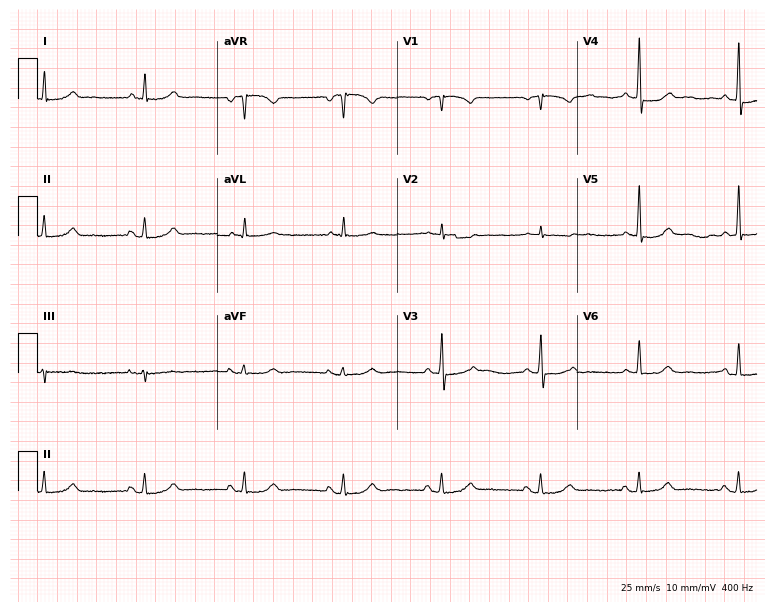
Resting 12-lead electrocardiogram (7.3-second recording at 400 Hz). Patient: a 66-year-old male. Read as a normal ECG.